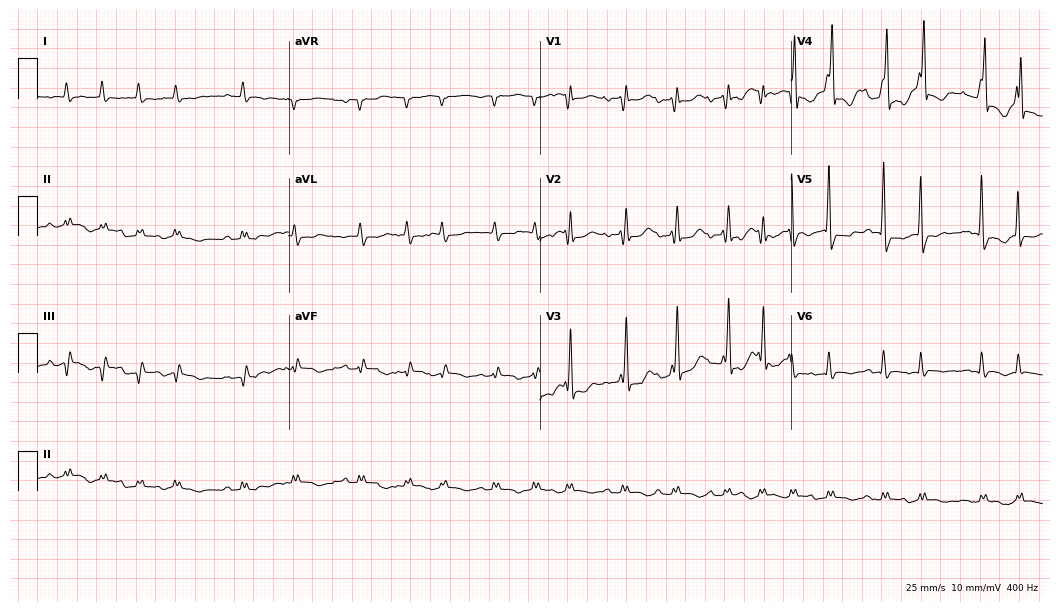
12-lead ECG (10.2-second recording at 400 Hz) from an 84-year-old male. Findings include atrial fibrillation, sinus tachycardia (a sinus rate of 100 beats per minute or more).